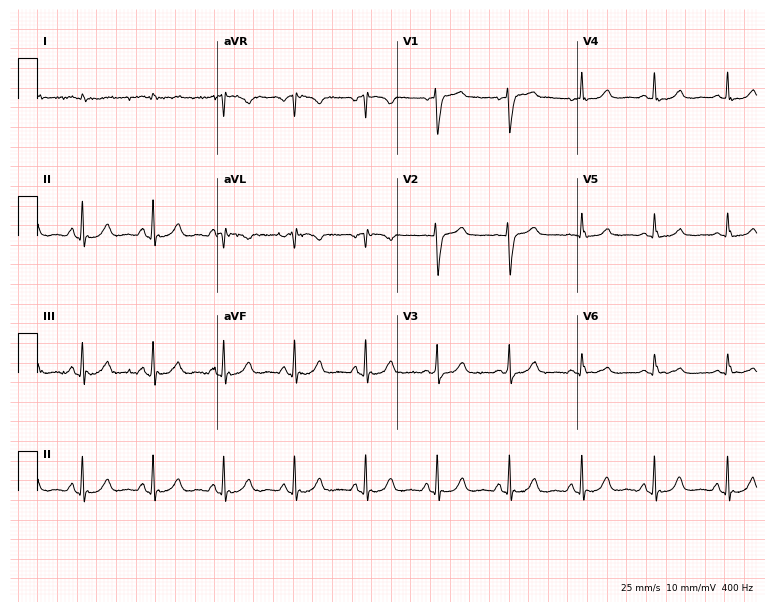
ECG — a 78-year-old man. Screened for six findings — first-degree AV block, right bundle branch block, left bundle branch block, sinus bradycardia, atrial fibrillation, sinus tachycardia — none is recorded. Only these six findings were labelled.